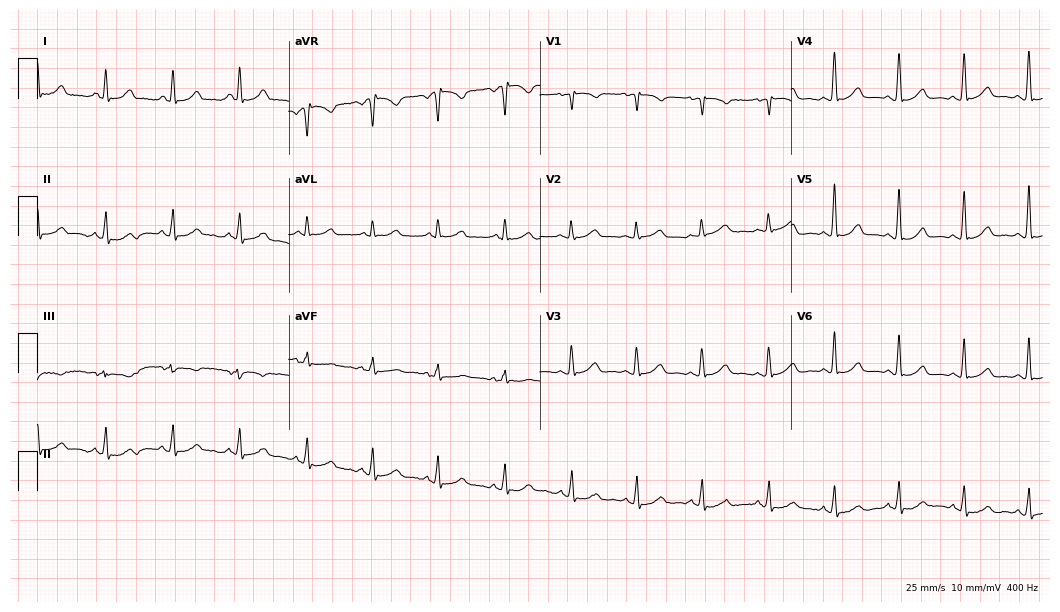
12-lead ECG from a female, 46 years old (10.2-second recording at 400 Hz). Recorded interpretation: within normal limits.